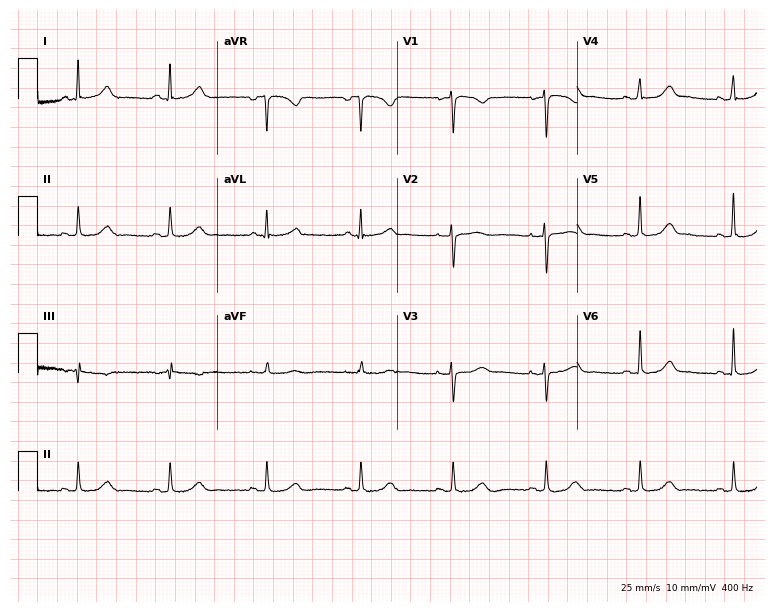
Resting 12-lead electrocardiogram. Patient: a 43-year-old female. Read as a normal ECG.